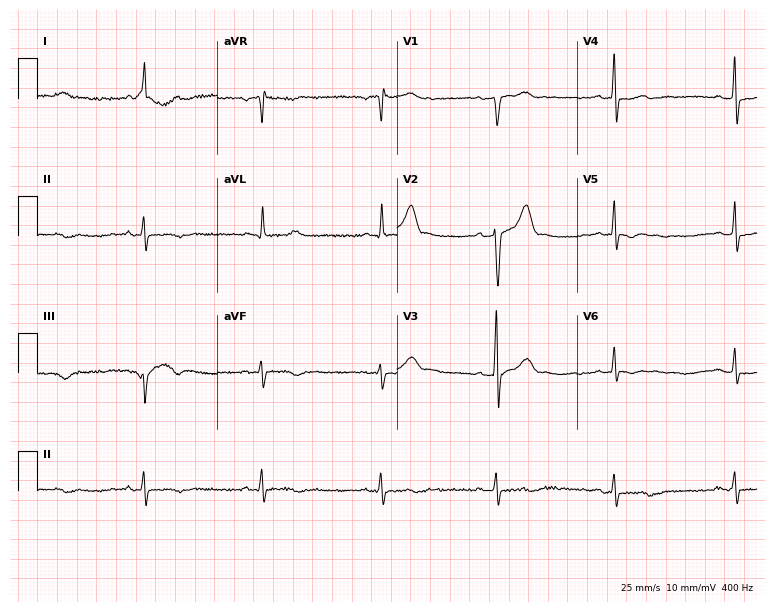
12-lead ECG from a 57-year-old male. No first-degree AV block, right bundle branch block, left bundle branch block, sinus bradycardia, atrial fibrillation or sinus tachycardia recorded for this tracing.